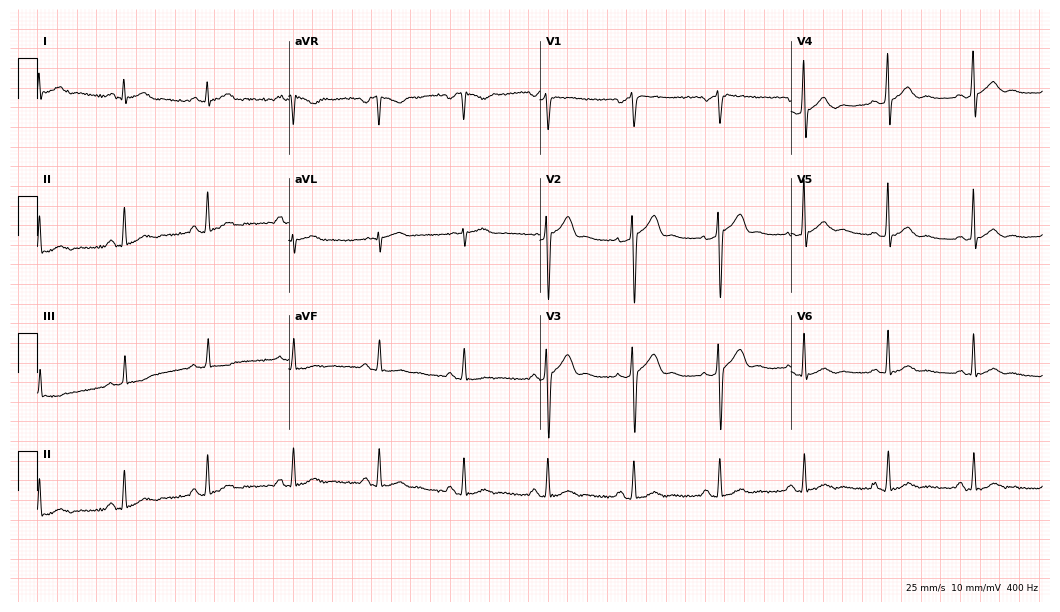
Electrocardiogram, a 42-year-old man. Of the six screened findings (first-degree AV block, right bundle branch block (RBBB), left bundle branch block (LBBB), sinus bradycardia, atrial fibrillation (AF), sinus tachycardia), none is recorded.